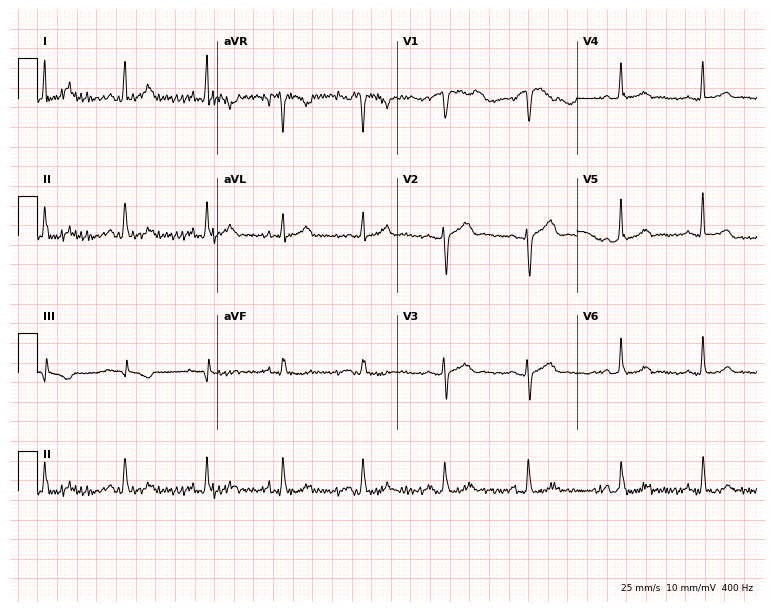
Electrocardiogram (7.3-second recording at 400 Hz), a 24-year-old woman. Of the six screened findings (first-degree AV block, right bundle branch block, left bundle branch block, sinus bradycardia, atrial fibrillation, sinus tachycardia), none is recorded.